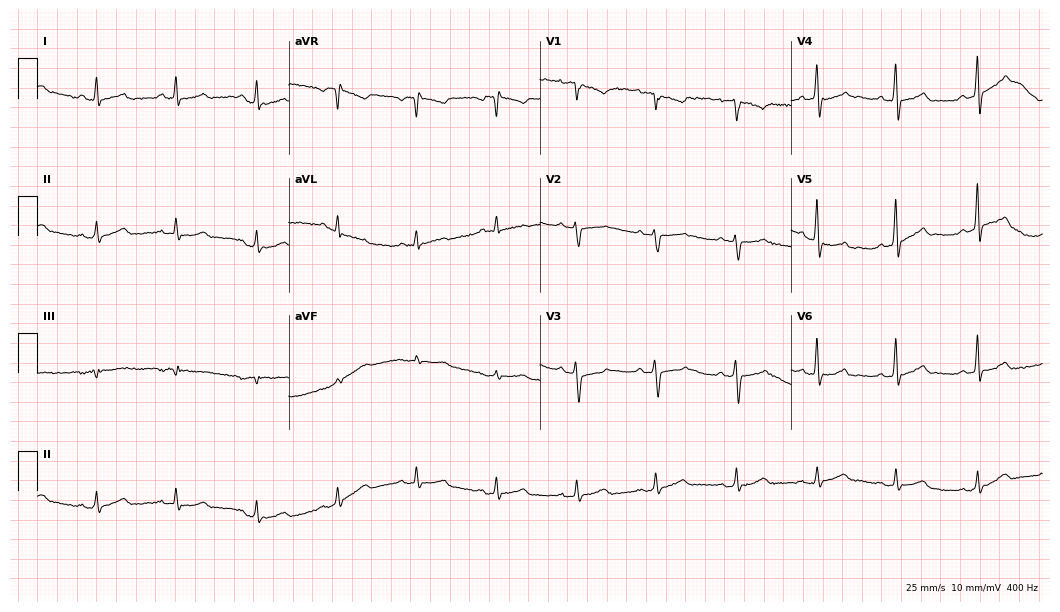
ECG — a male, 65 years old. Screened for six findings — first-degree AV block, right bundle branch block, left bundle branch block, sinus bradycardia, atrial fibrillation, sinus tachycardia — none is recorded.